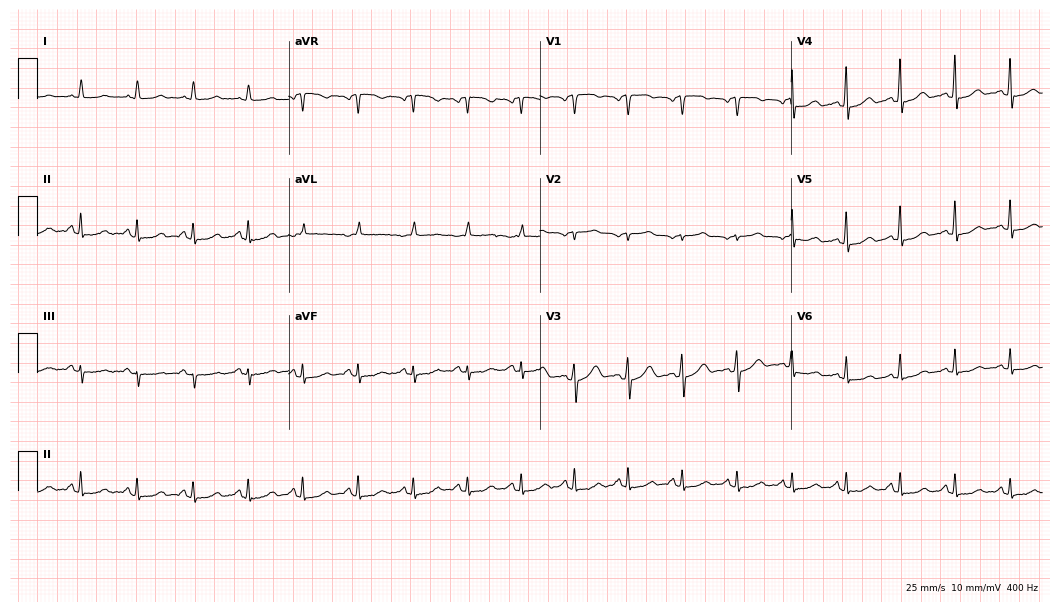
Standard 12-lead ECG recorded from a woman, 28 years old. None of these six findings is recorded: first-degree AV block, right bundle branch block, left bundle branch block, sinus bradycardia, atrial fibrillation, sinus tachycardia.